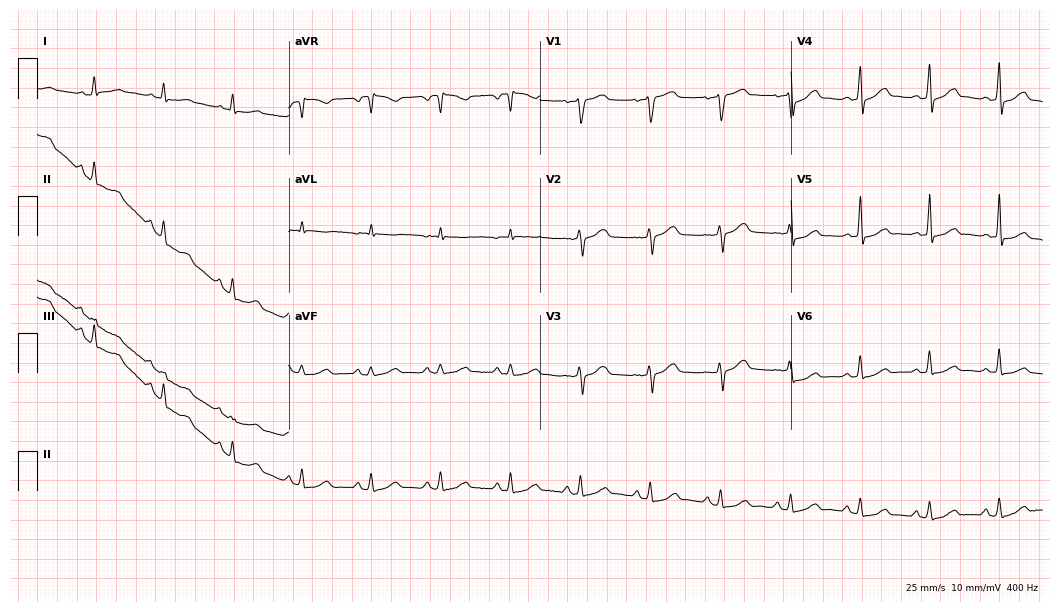
ECG (10.2-second recording at 400 Hz) — a 71-year-old male. Labelled as a normal ECG.